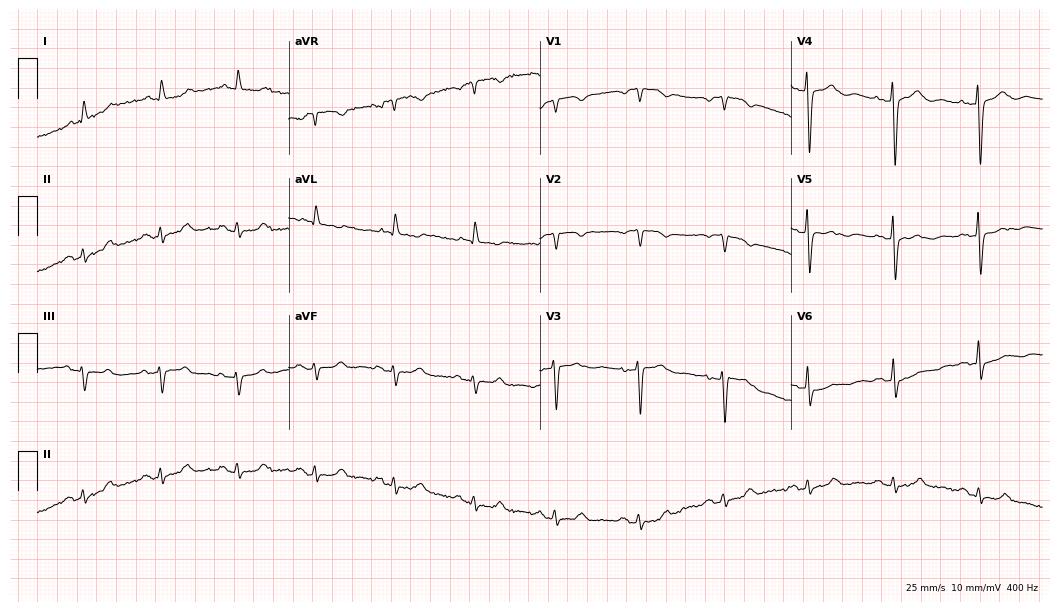
12-lead ECG from a female patient, 73 years old. Screened for six findings — first-degree AV block, right bundle branch block, left bundle branch block, sinus bradycardia, atrial fibrillation, sinus tachycardia — none is recorded. Other findings, if any, are not listed.